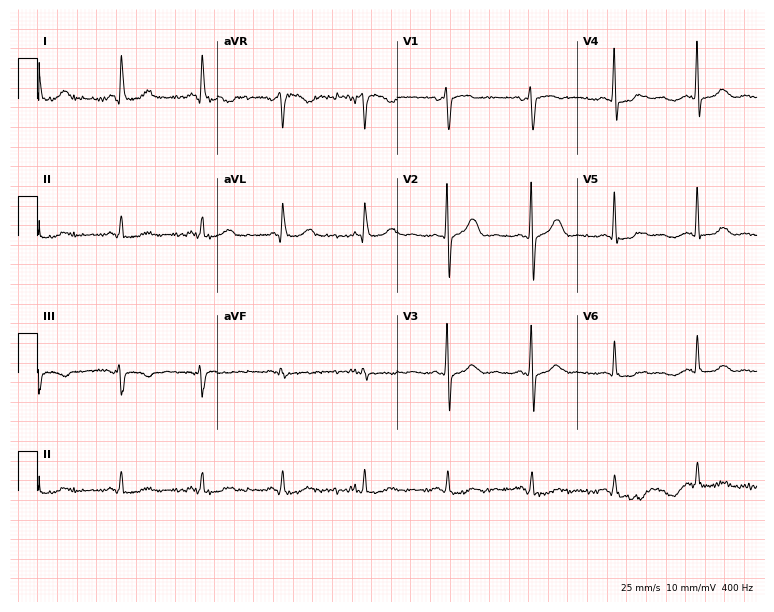
12-lead ECG (7.3-second recording at 400 Hz) from a 73-year-old woman. Labelled as a normal ECG.